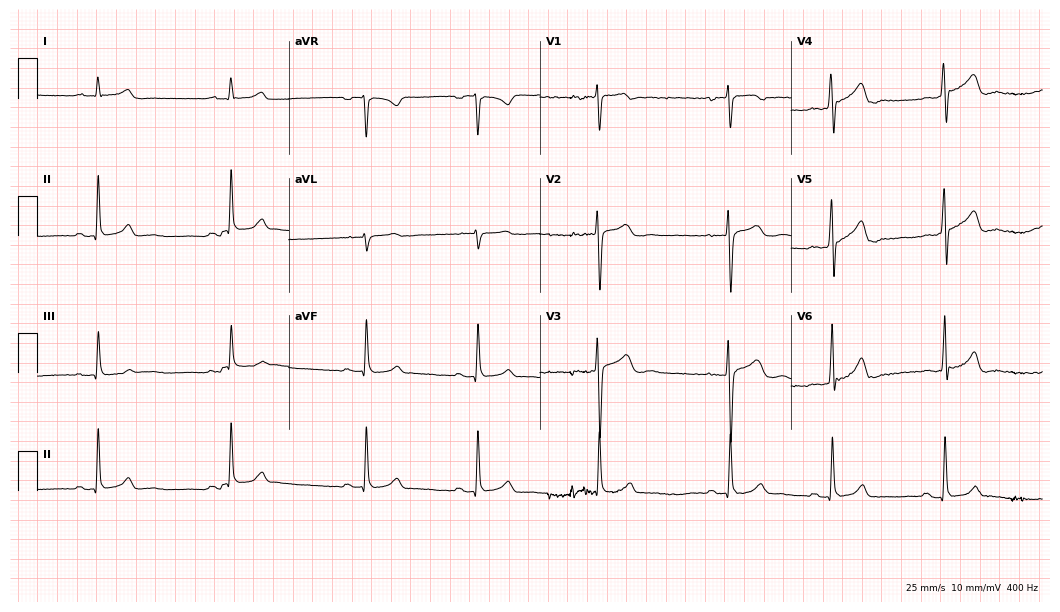
Resting 12-lead electrocardiogram. Patient: a male, 19 years old. The tracing shows first-degree AV block, sinus bradycardia (a sinus rate of 50 beats per minute or less).